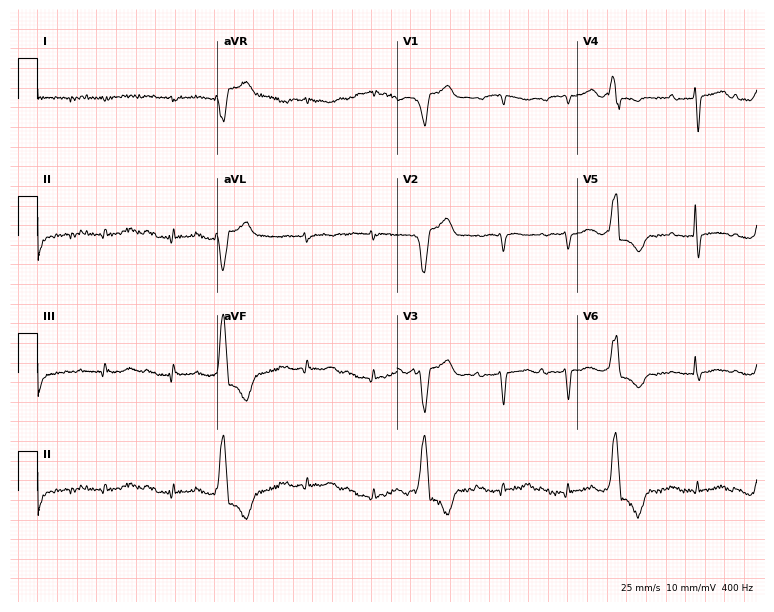
Resting 12-lead electrocardiogram (7.3-second recording at 400 Hz). Patient: a woman, 77 years old. None of these six findings is recorded: first-degree AV block, right bundle branch block (RBBB), left bundle branch block (LBBB), sinus bradycardia, atrial fibrillation (AF), sinus tachycardia. Only these six findings were labelled.